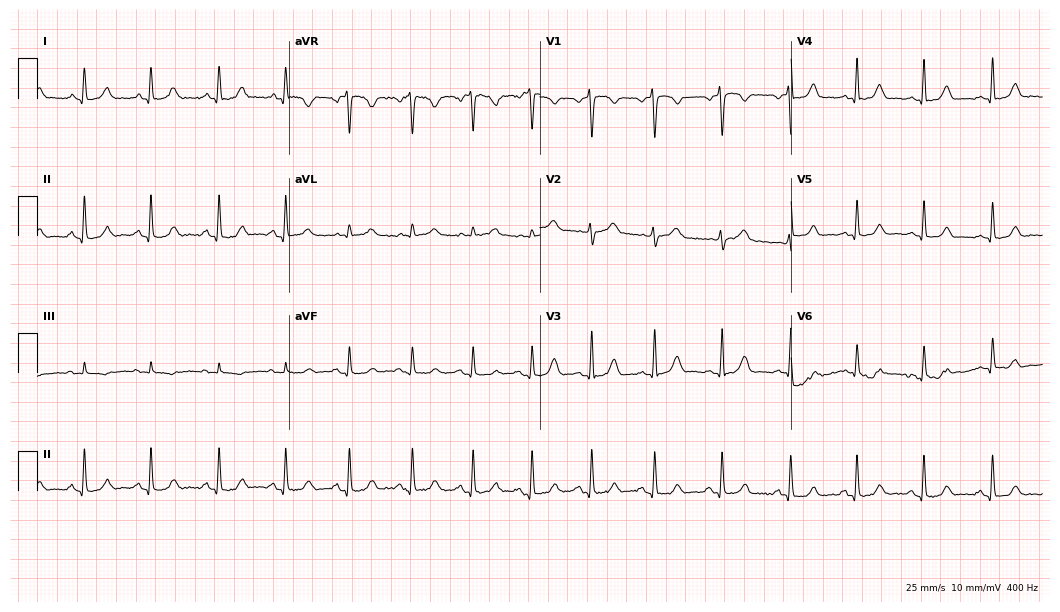
Electrocardiogram, a woman, 22 years old. Overall reading on record: normal ECG.